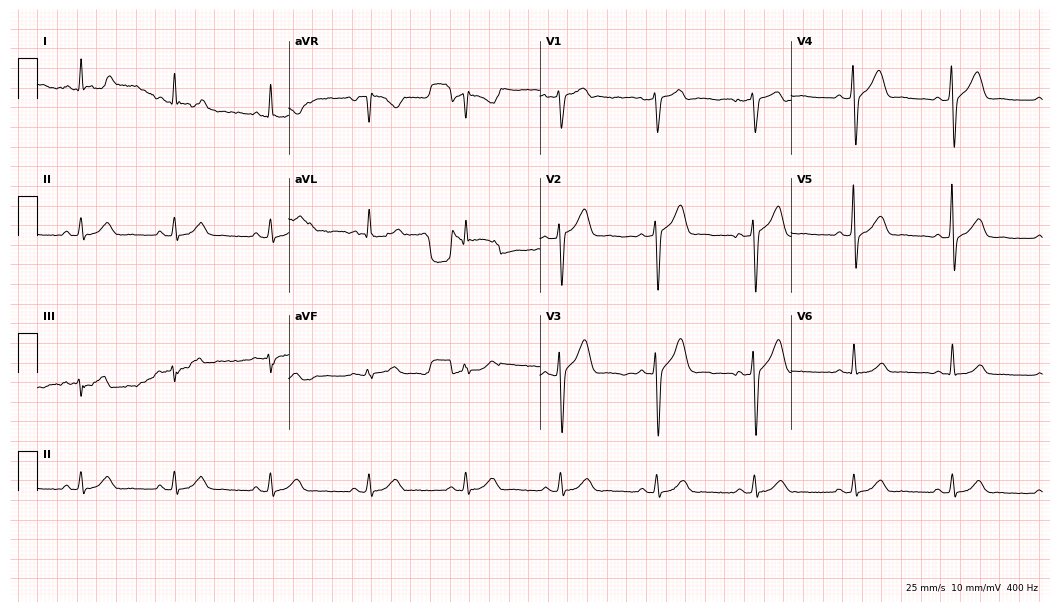
ECG — a 44-year-old male patient. Screened for six findings — first-degree AV block, right bundle branch block, left bundle branch block, sinus bradycardia, atrial fibrillation, sinus tachycardia — none is recorded.